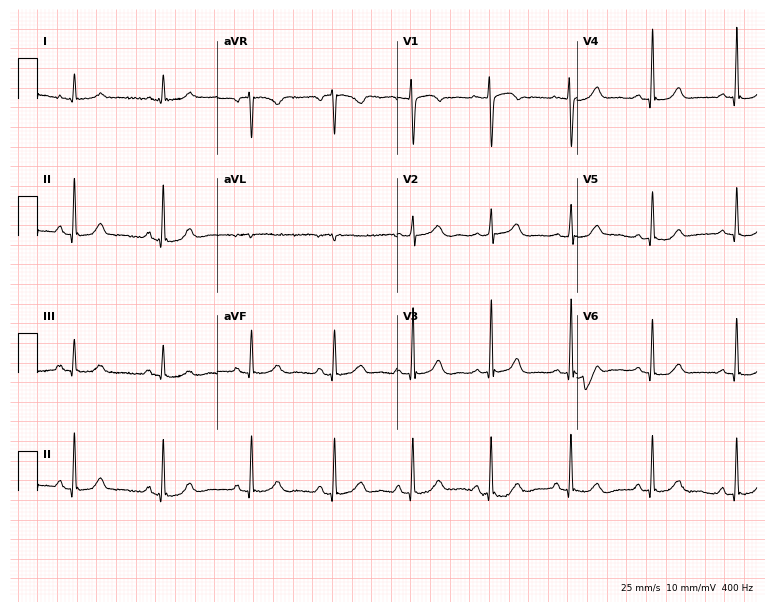
Electrocardiogram, a 55-year-old female patient. Overall reading on record: normal ECG.